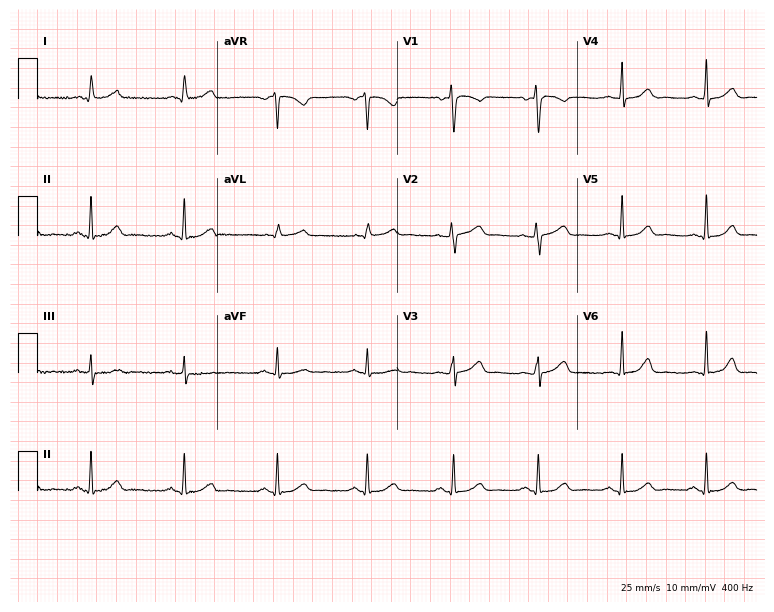
Resting 12-lead electrocardiogram. Patient: a 44-year-old female. Read as a normal ECG.